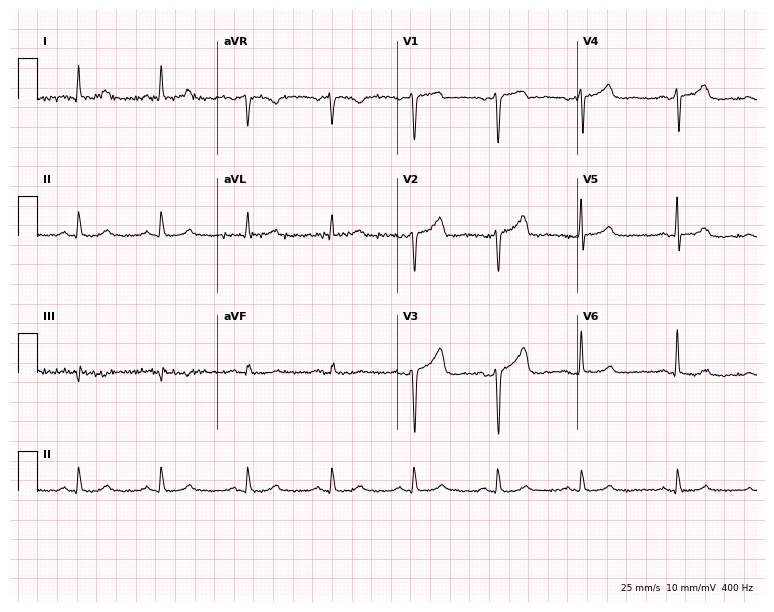
12-lead ECG from a 59-year-old man (7.3-second recording at 400 Hz). No first-degree AV block, right bundle branch block, left bundle branch block, sinus bradycardia, atrial fibrillation or sinus tachycardia recorded for this tracing.